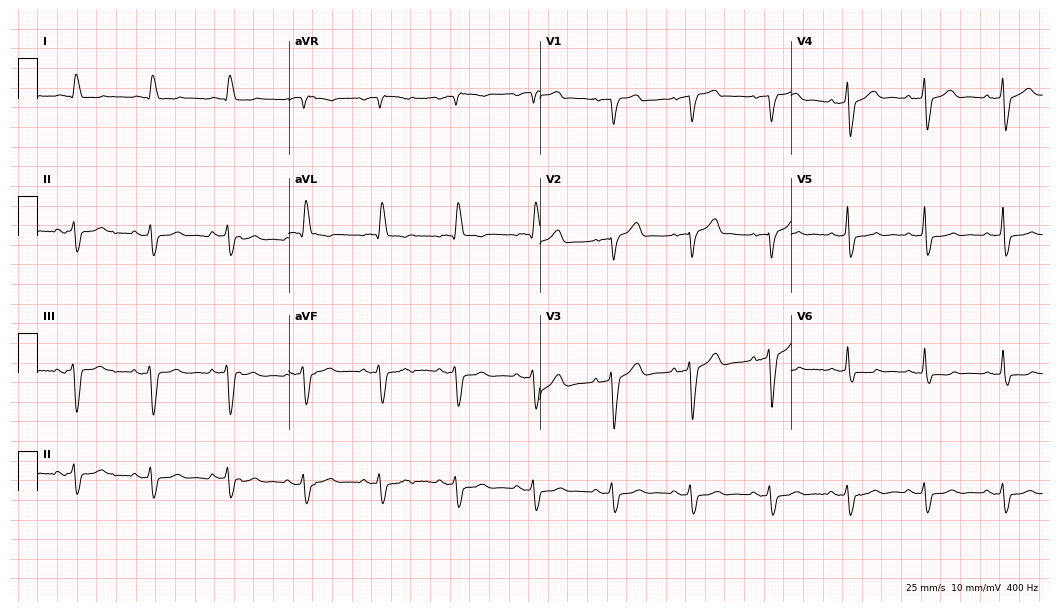
Electrocardiogram, a 73-year-old male patient. Of the six screened findings (first-degree AV block, right bundle branch block, left bundle branch block, sinus bradycardia, atrial fibrillation, sinus tachycardia), none is recorded. Findings outside these six are not listed.